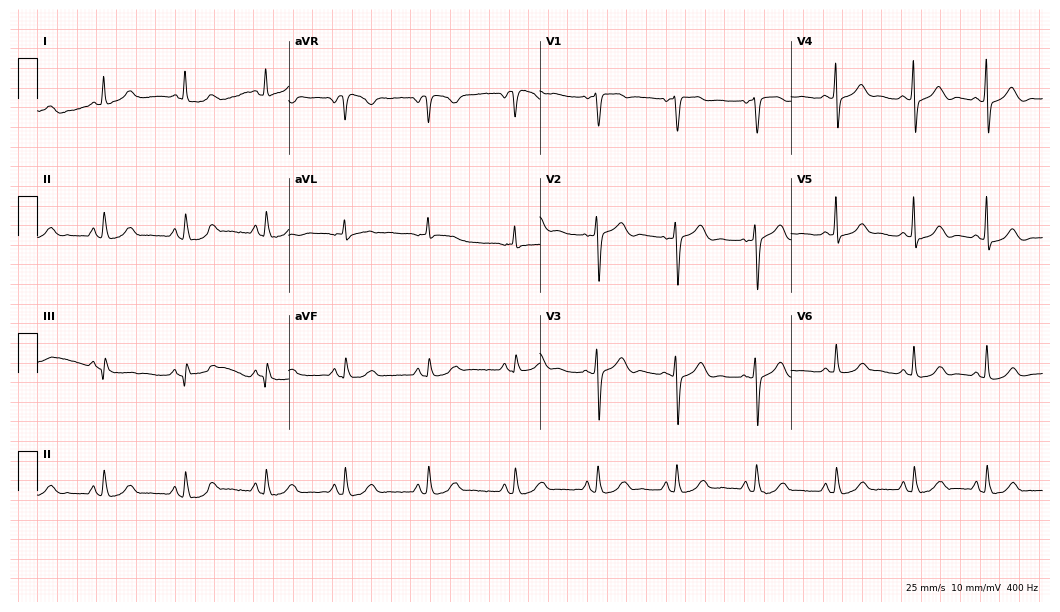
Standard 12-lead ECG recorded from a female patient, 55 years old. Read as a normal ECG.